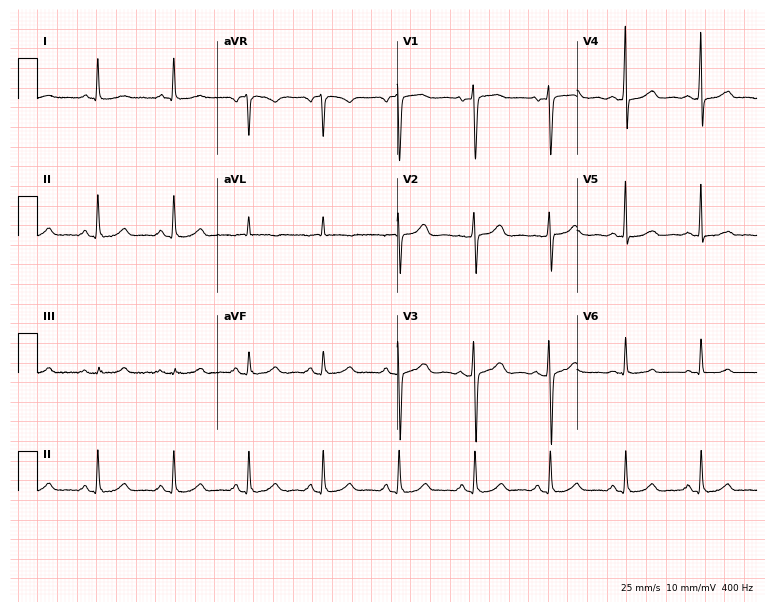
12-lead ECG (7.3-second recording at 400 Hz) from a woman, 49 years old. Labelled as a normal ECG.